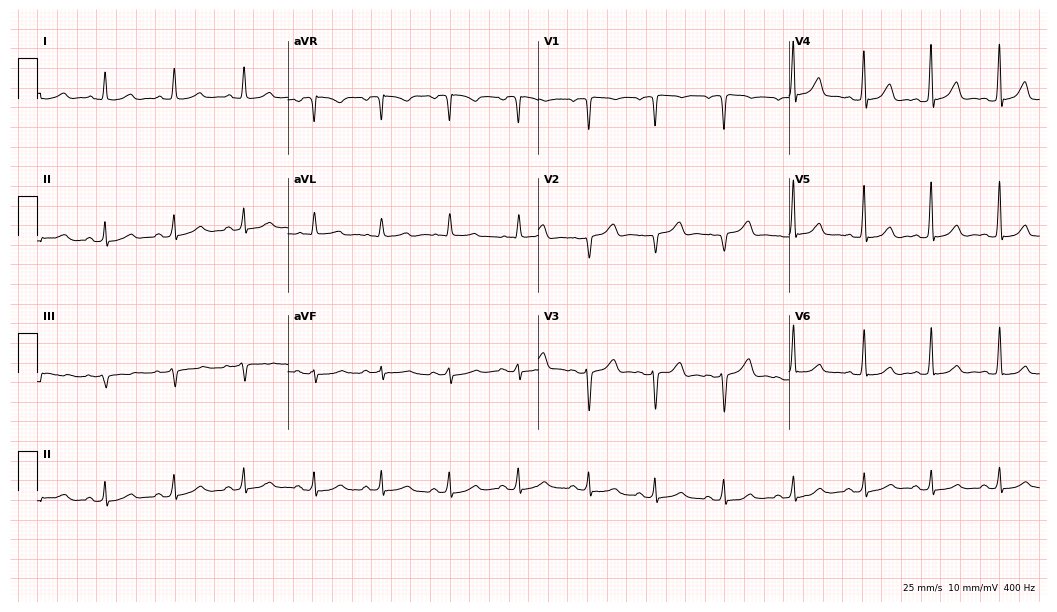
Standard 12-lead ECG recorded from a woman, 43 years old (10.2-second recording at 400 Hz). None of these six findings is recorded: first-degree AV block, right bundle branch block (RBBB), left bundle branch block (LBBB), sinus bradycardia, atrial fibrillation (AF), sinus tachycardia.